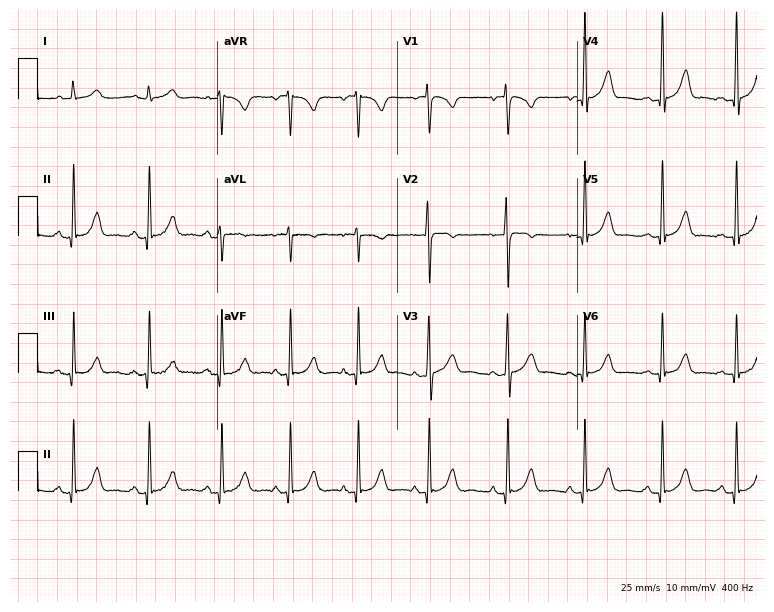
12-lead ECG from a 29-year-old man. Recorded interpretation: within normal limits.